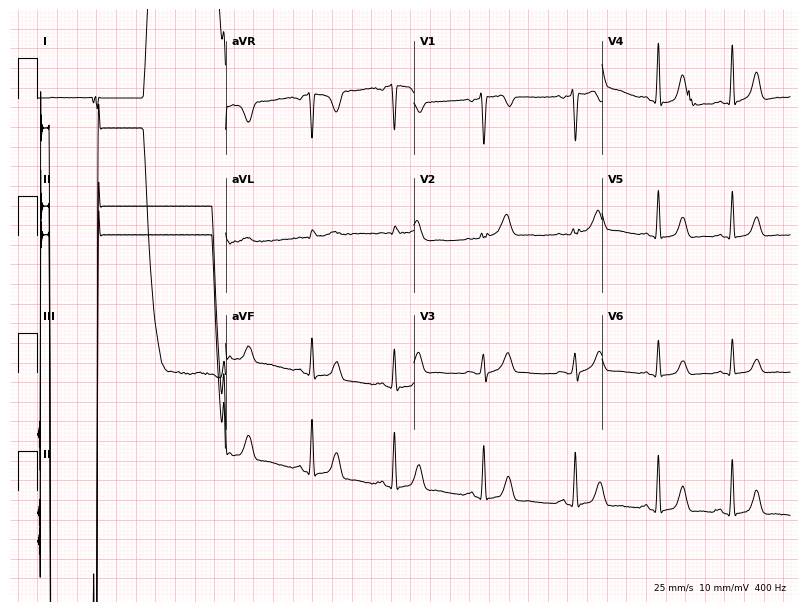
12-lead ECG from a female patient, 37 years old (7.7-second recording at 400 Hz). Recorded interpretation: within normal limits.